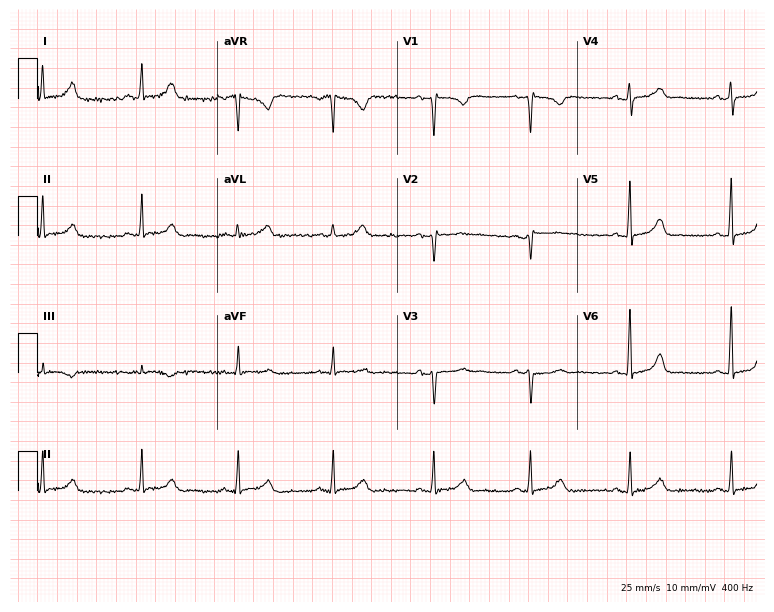
ECG — a female patient, 41 years old. Screened for six findings — first-degree AV block, right bundle branch block, left bundle branch block, sinus bradycardia, atrial fibrillation, sinus tachycardia — none is recorded. Other findings, if any, are not listed.